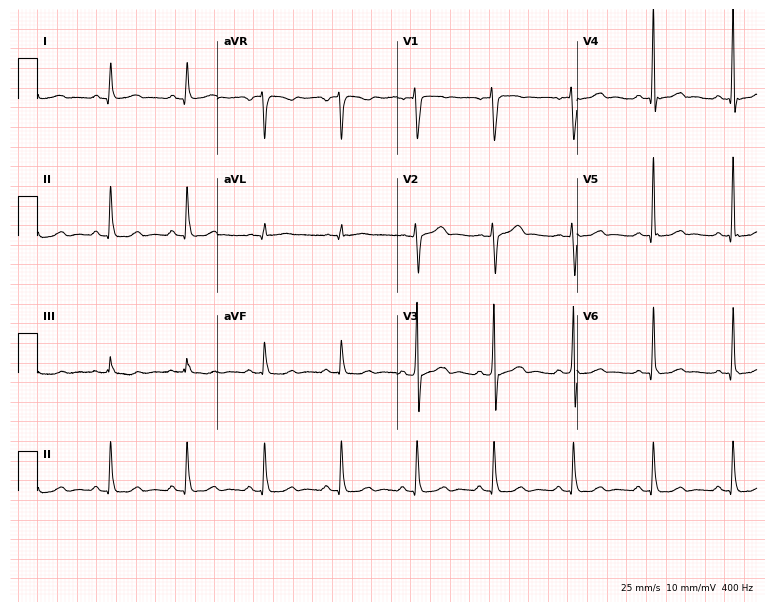
ECG — a 49-year-old male. Screened for six findings — first-degree AV block, right bundle branch block, left bundle branch block, sinus bradycardia, atrial fibrillation, sinus tachycardia — none is recorded.